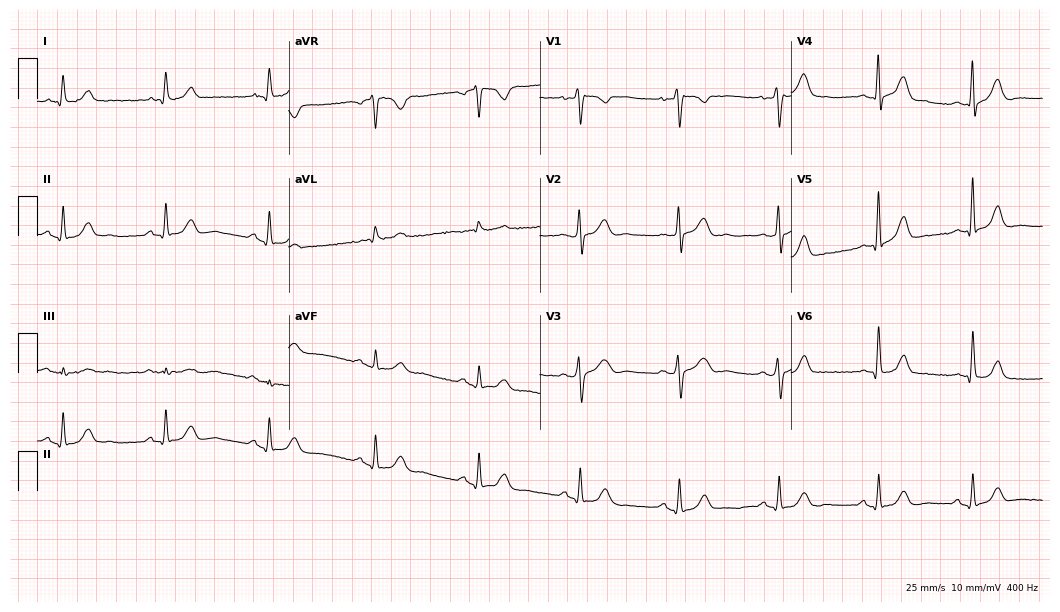
12-lead ECG (10.2-second recording at 400 Hz) from a man, 72 years old. Labelled as a normal ECG.